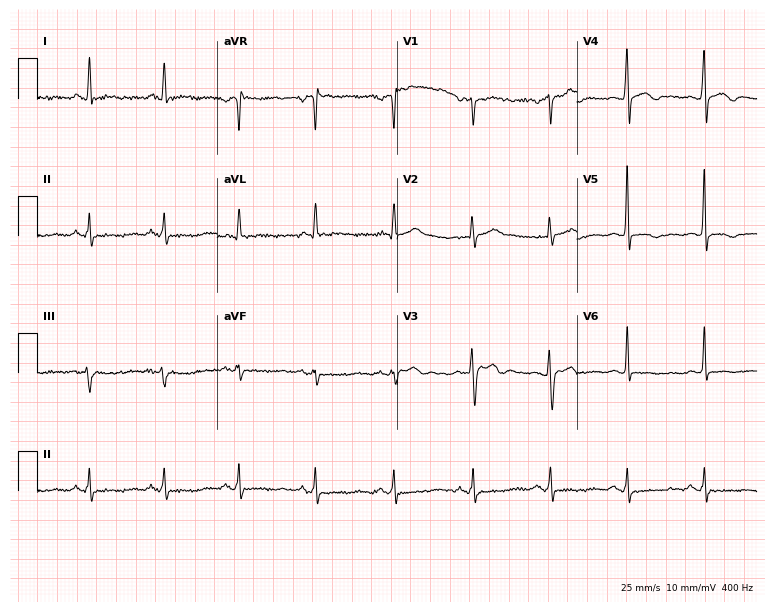
12-lead ECG from a 44-year-old male patient. Screened for six findings — first-degree AV block, right bundle branch block, left bundle branch block, sinus bradycardia, atrial fibrillation, sinus tachycardia — none is recorded.